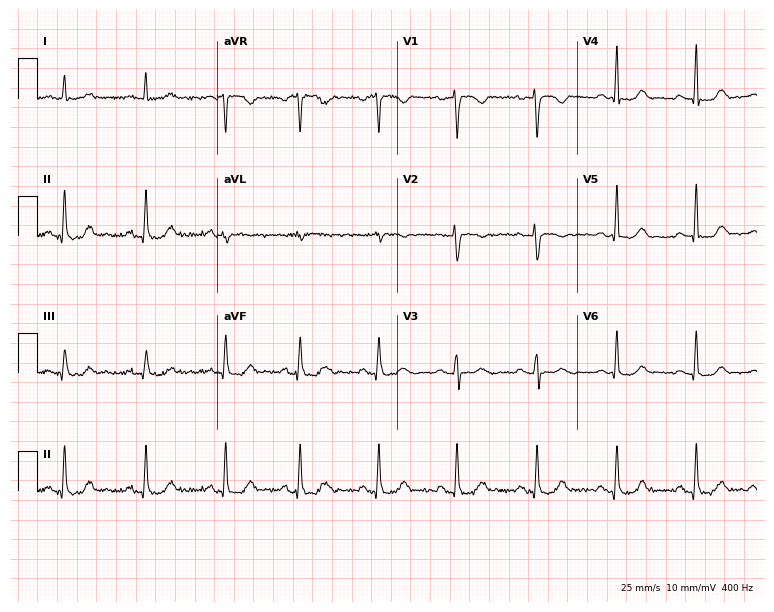
Electrocardiogram, a female patient, 43 years old. Overall reading on record: normal ECG.